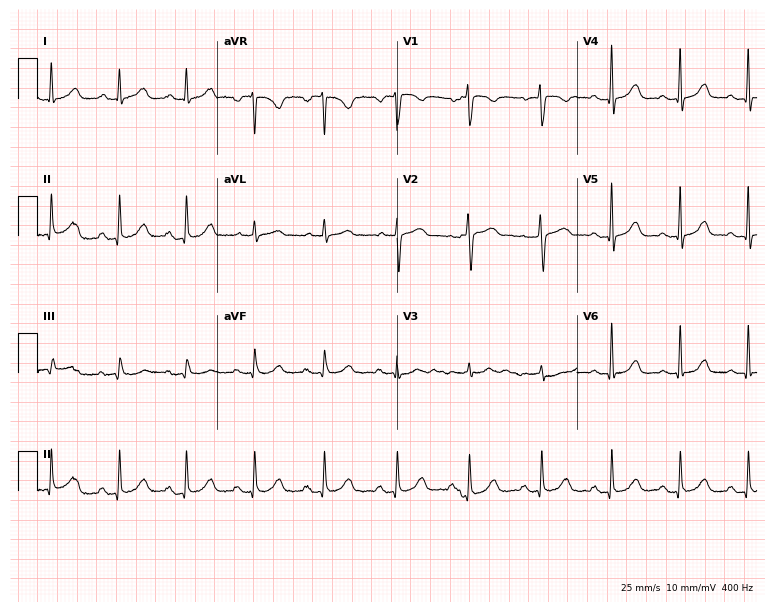
Standard 12-lead ECG recorded from a 48-year-old woman. Read as a normal ECG.